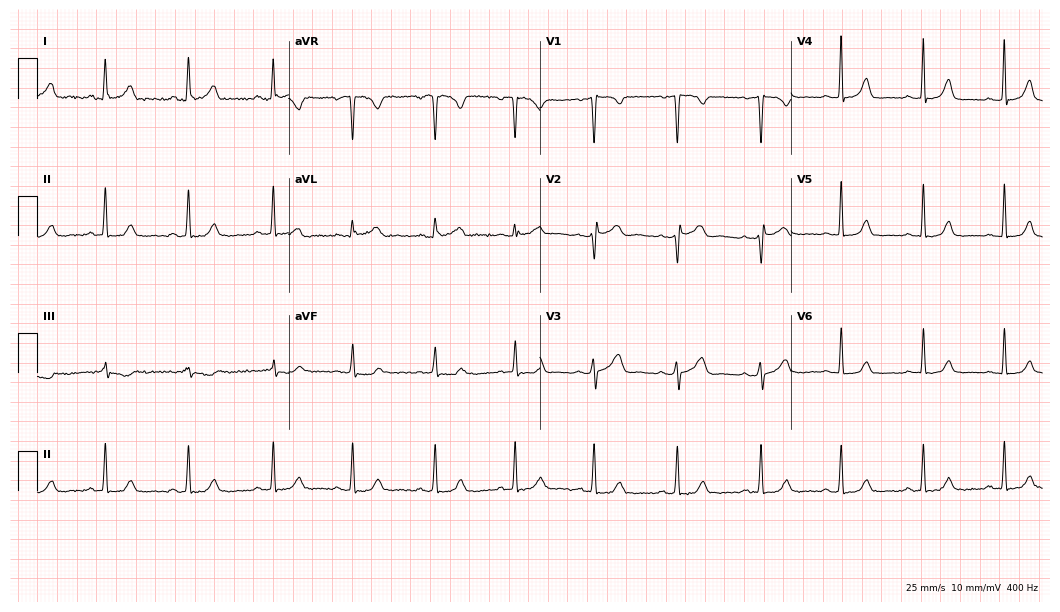
12-lead ECG from a female patient, 31 years old (10.2-second recording at 400 Hz). No first-degree AV block, right bundle branch block, left bundle branch block, sinus bradycardia, atrial fibrillation or sinus tachycardia recorded for this tracing.